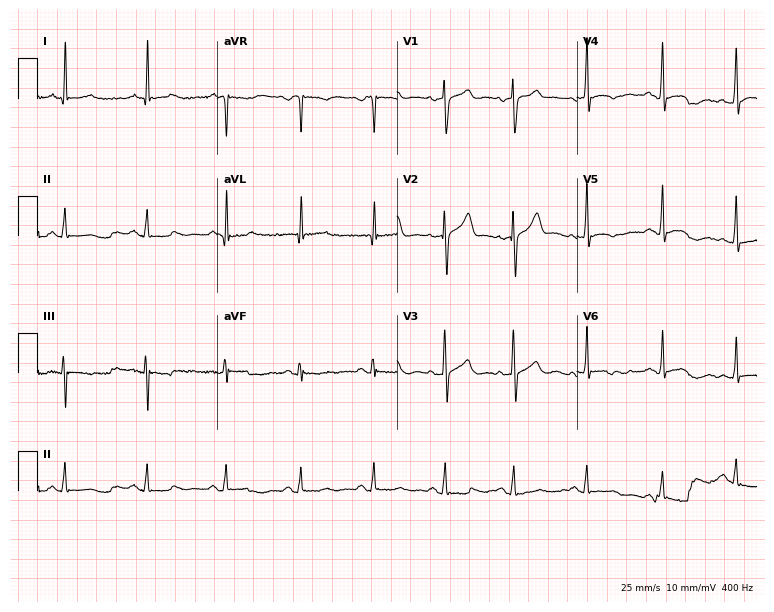
Resting 12-lead electrocardiogram (7.3-second recording at 400 Hz). Patient: a 42-year-old male. None of these six findings is recorded: first-degree AV block, right bundle branch block, left bundle branch block, sinus bradycardia, atrial fibrillation, sinus tachycardia. Findings outside these six are not listed.